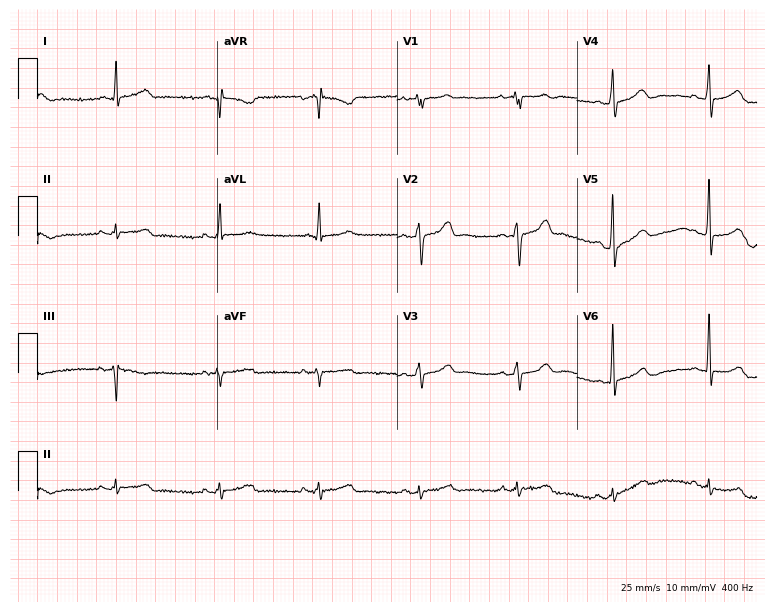
12-lead ECG from a male patient, 43 years old. Recorded interpretation: within normal limits.